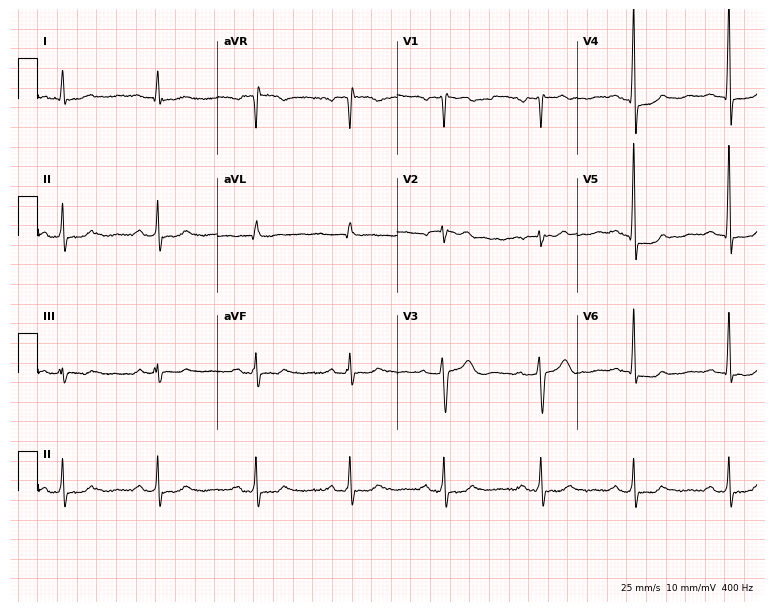
ECG (7.3-second recording at 400 Hz) — a 61-year-old male patient. Screened for six findings — first-degree AV block, right bundle branch block, left bundle branch block, sinus bradycardia, atrial fibrillation, sinus tachycardia — none is recorded.